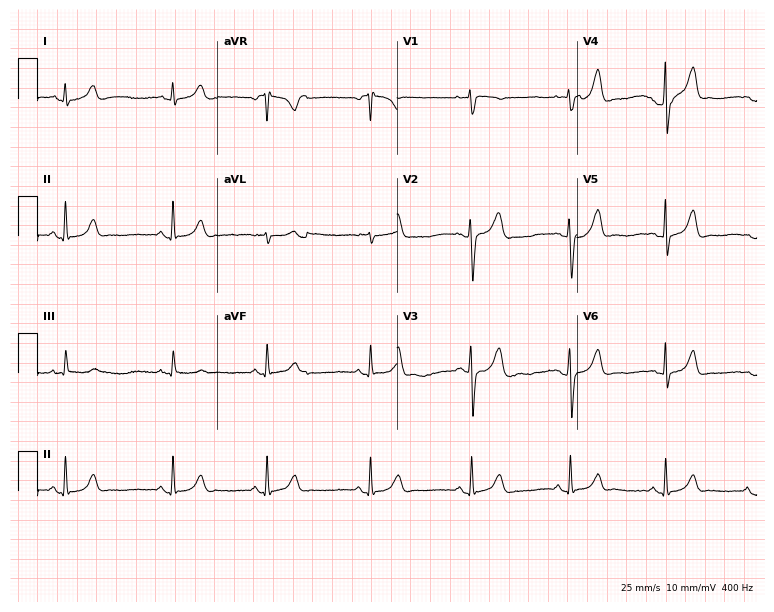
ECG (7.3-second recording at 400 Hz) — a 25-year-old female. Labelled as a normal ECG.